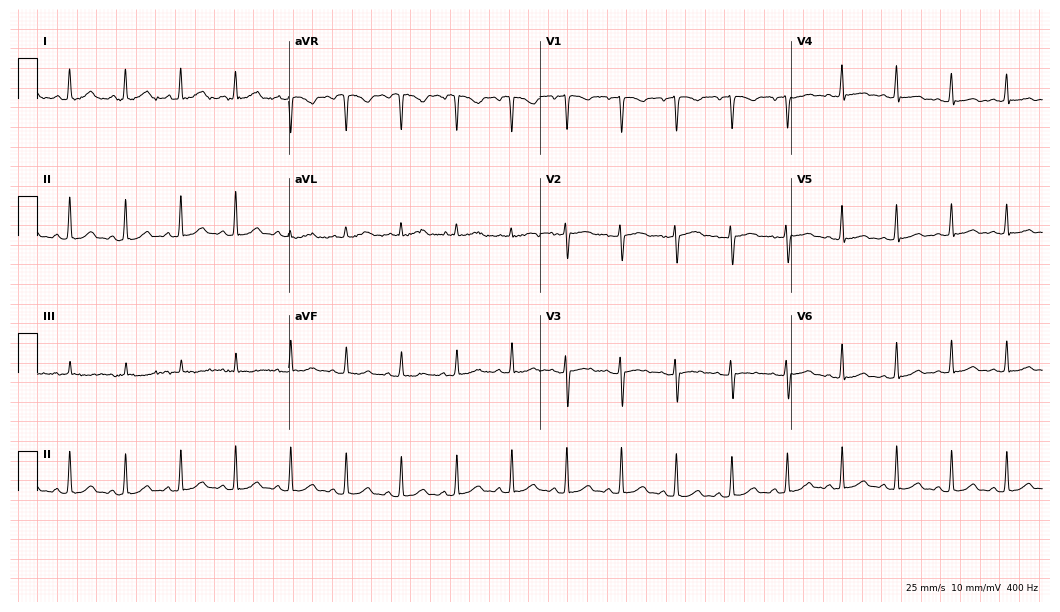
Standard 12-lead ECG recorded from a 20-year-old female (10.2-second recording at 400 Hz). The tracing shows sinus tachycardia (a sinus rate of 100 beats per minute or more).